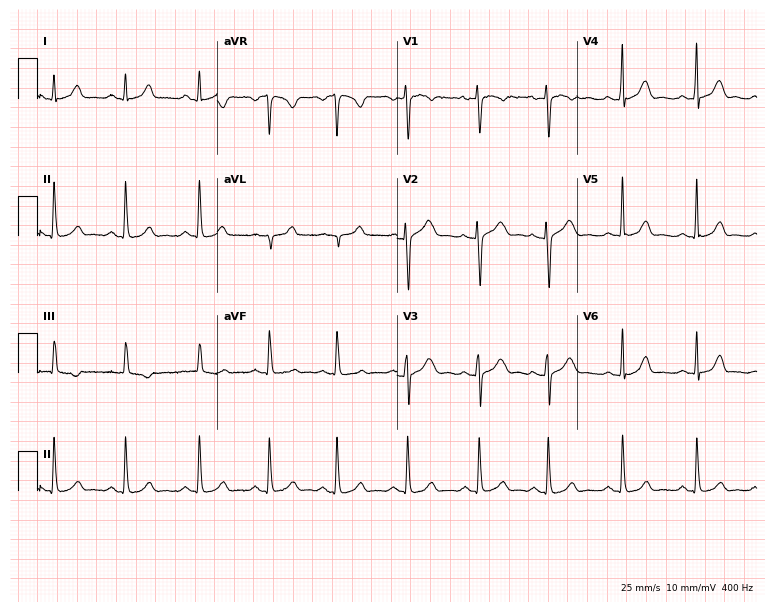
Resting 12-lead electrocardiogram. Patient: a woman, 20 years old. None of these six findings is recorded: first-degree AV block, right bundle branch block (RBBB), left bundle branch block (LBBB), sinus bradycardia, atrial fibrillation (AF), sinus tachycardia. Findings outside these six are not listed.